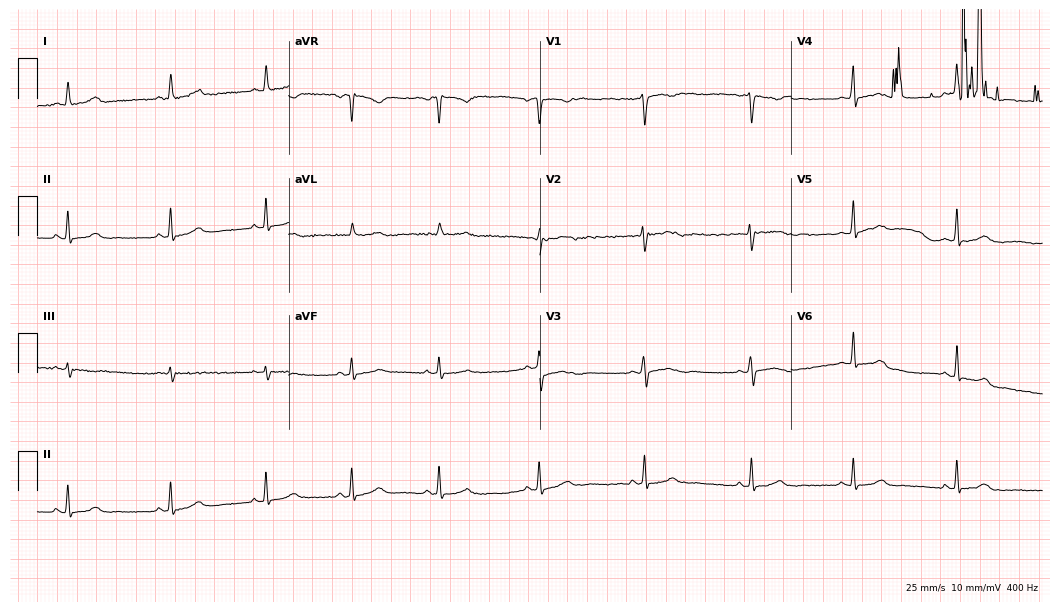
12-lead ECG (10.2-second recording at 400 Hz) from a woman, 41 years old. Labelled as a normal ECG.